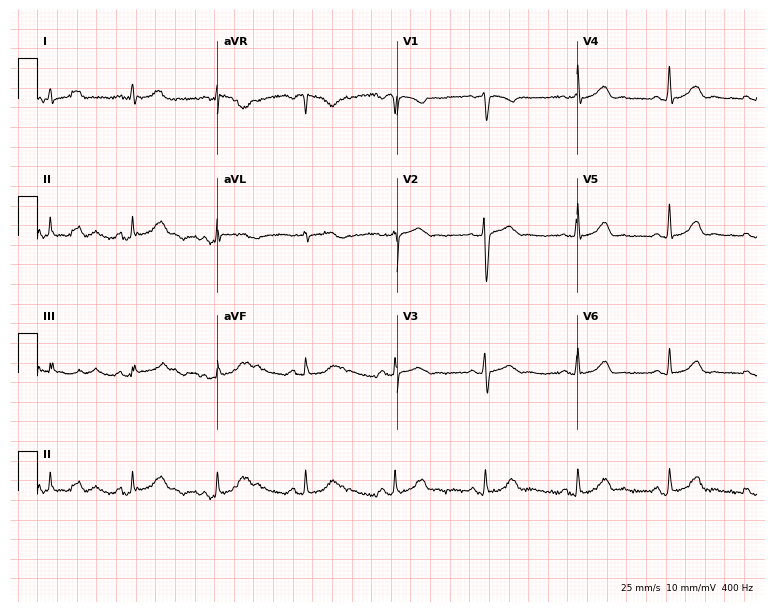
Resting 12-lead electrocardiogram. Patient: a 43-year-old female. Read as a normal ECG.